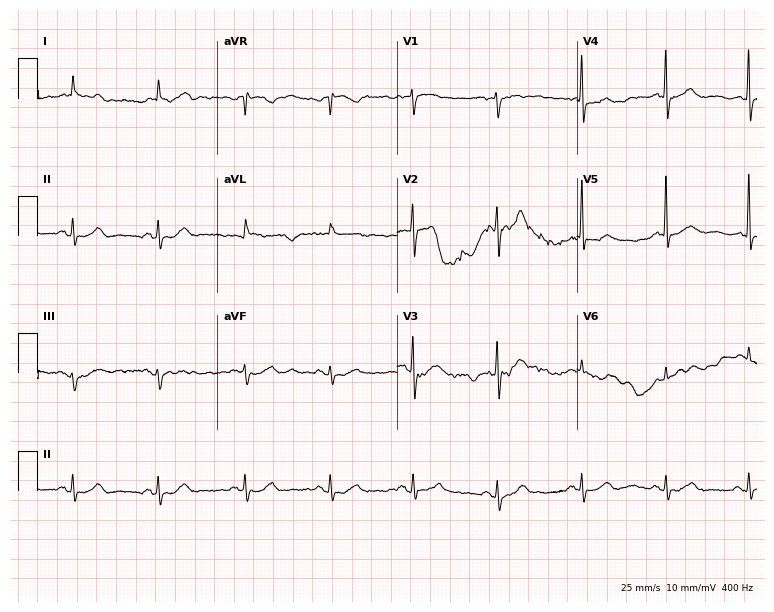
Resting 12-lead electrocardiogram. Patient: a male, 82 years old. None of these six findings is recorded: first-degree AV block, right bundle branch block (RBBB), left bundle branch block (LBBB), sinus bradycardia, atrial fibrillation (AF), sinus tachycardia. Other findings, if any, are not listed.